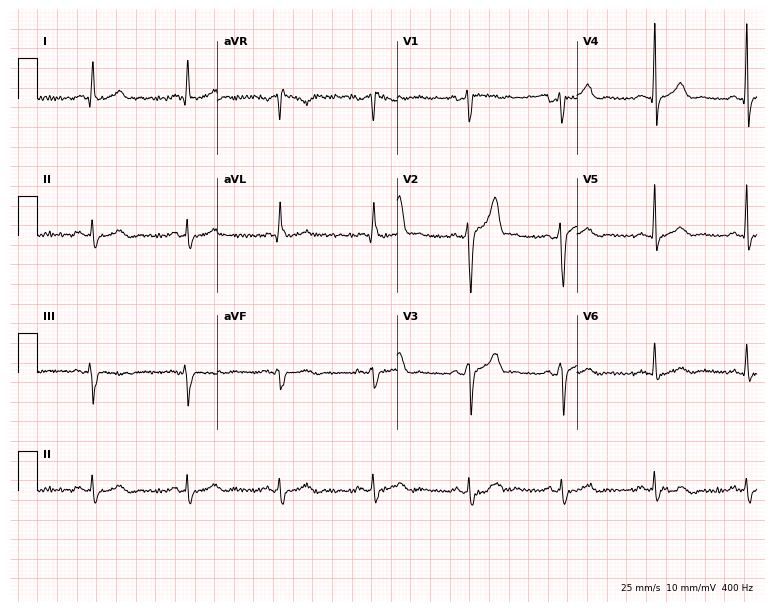
Resting 12-lead electrocardiogram (7.3-second recording at 400 Hz). Patient: a 46-year-old male. None of these six findings is recorded: first-degree AV block, right bundle branch block, left bundle branch block, sinus bradycardia, atrial fibrillation, sinus tachycardia.